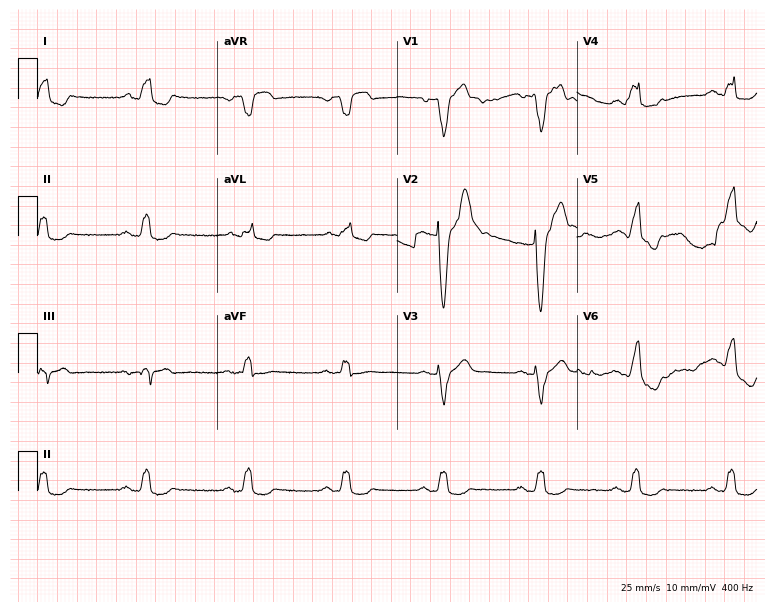
ECG — a male, 75 years old. Findings include left bundle branch block.